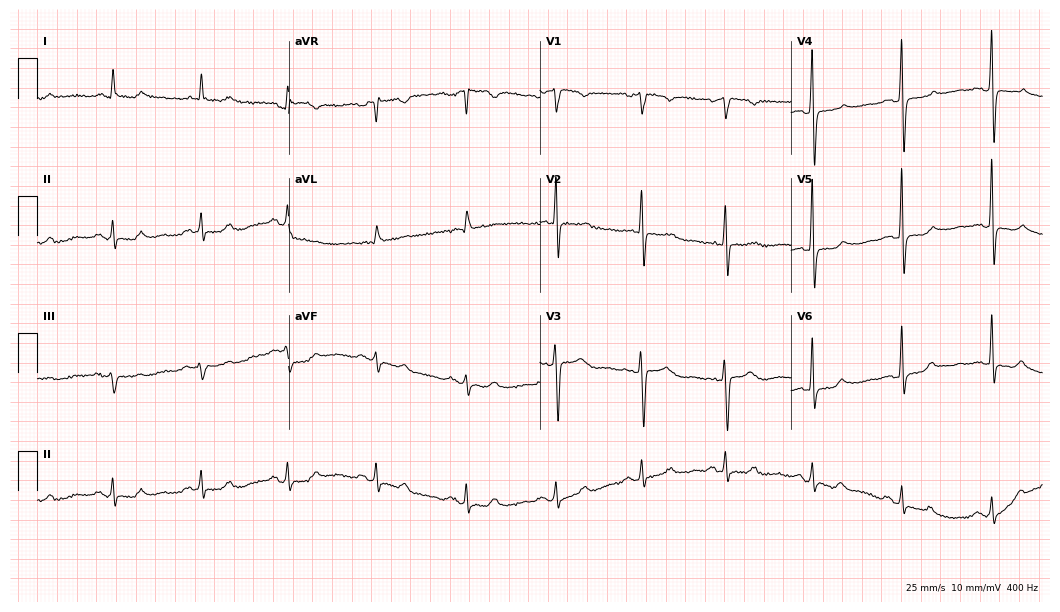
ECG — a female patient, 66 years old. Screened for six findings — first-degree AV block, right bundle branch block, left bundle branch block, sinus bradycardia, atrial fibrillation, sinus tachycardia — none is recorded.